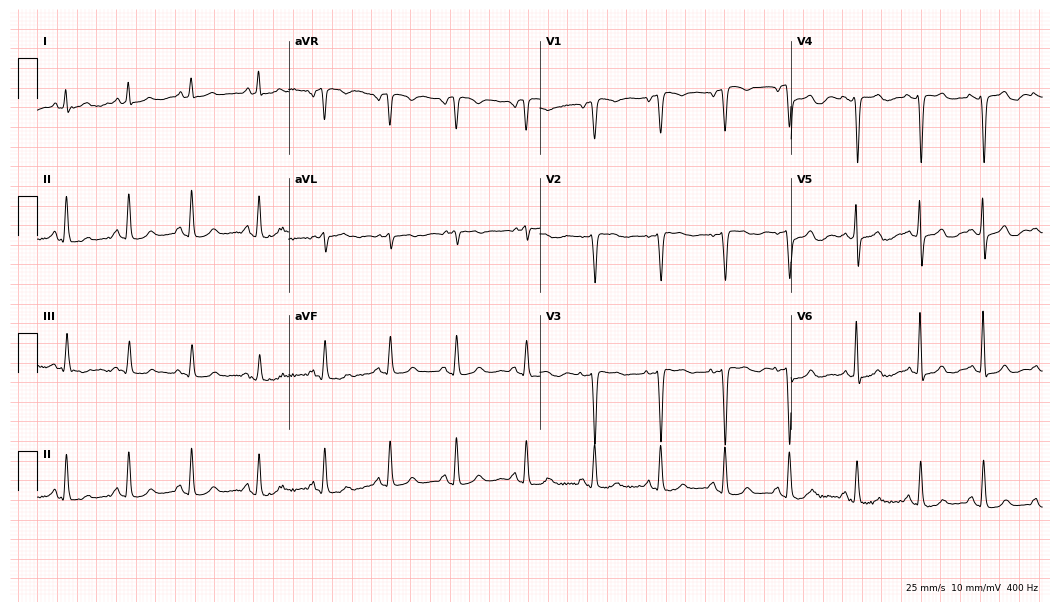
Electrocardiogram (10.2-second recording at 400 Hz), a 75-year-old woman. Of the six screened findings (first-degree AV block, right bundle branch block, left bundle branch block, sinus bradycardia, atrial fibrillation, sinus tachycardia), none is recorded.